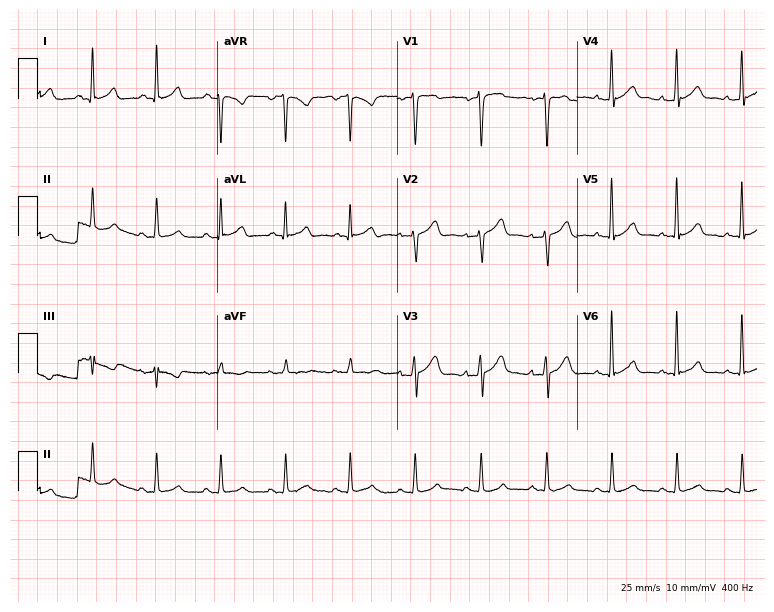
12-lead ECG (7.3-second recording at 400 Hz) from a man, 53 years old. Labelled as a normal ECG.